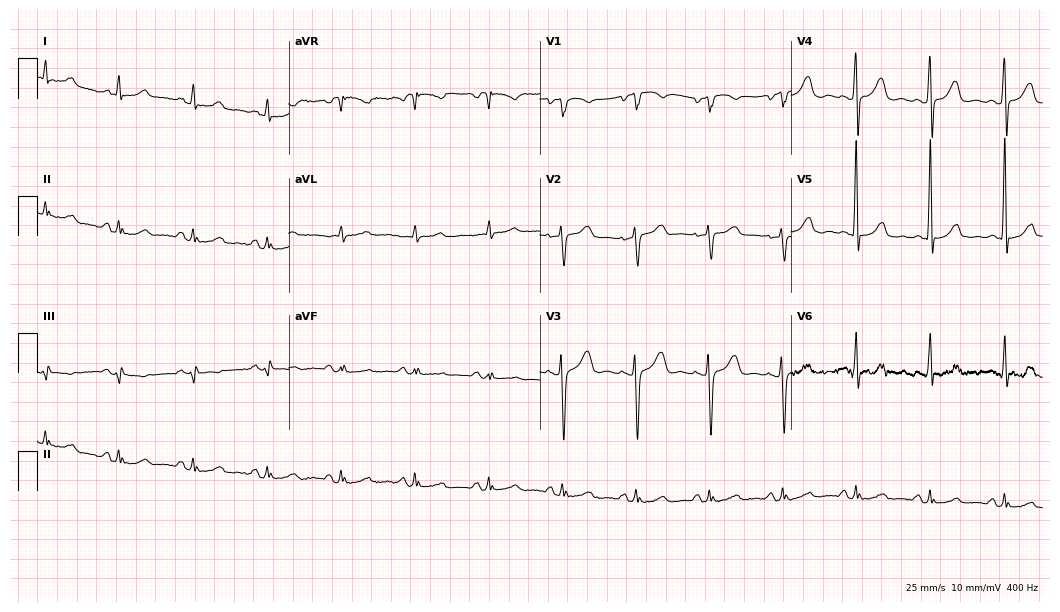
12-lead ECG from a man, 43 years old. Labelled as a normal ECG.